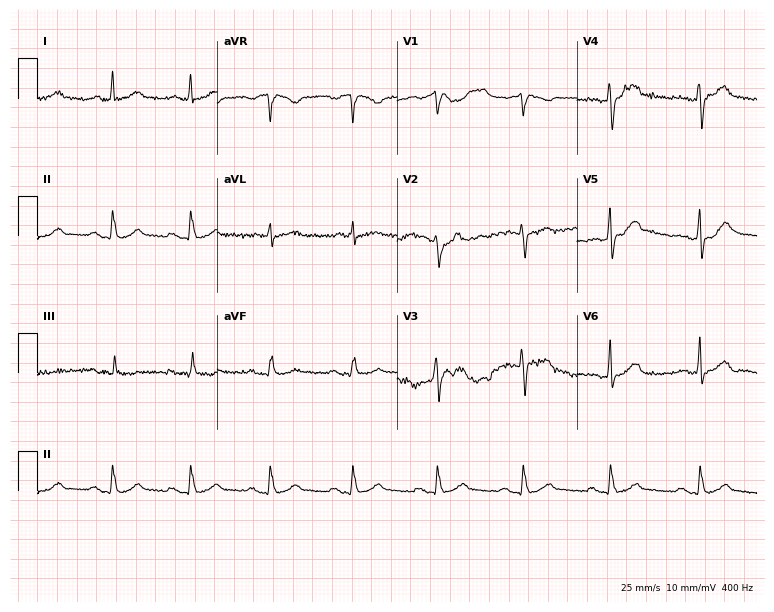
Standard 12-lead ECG recorded from a 63-year-old man (7.3-second recording at 400 Hz). None of these six findings is recorded: first-degree AV block, right bundle branch block (RBBB), left bundle branch block (LBBB), sinus bradycardia, atrial fibrillation (AF), sinus tachycardia.